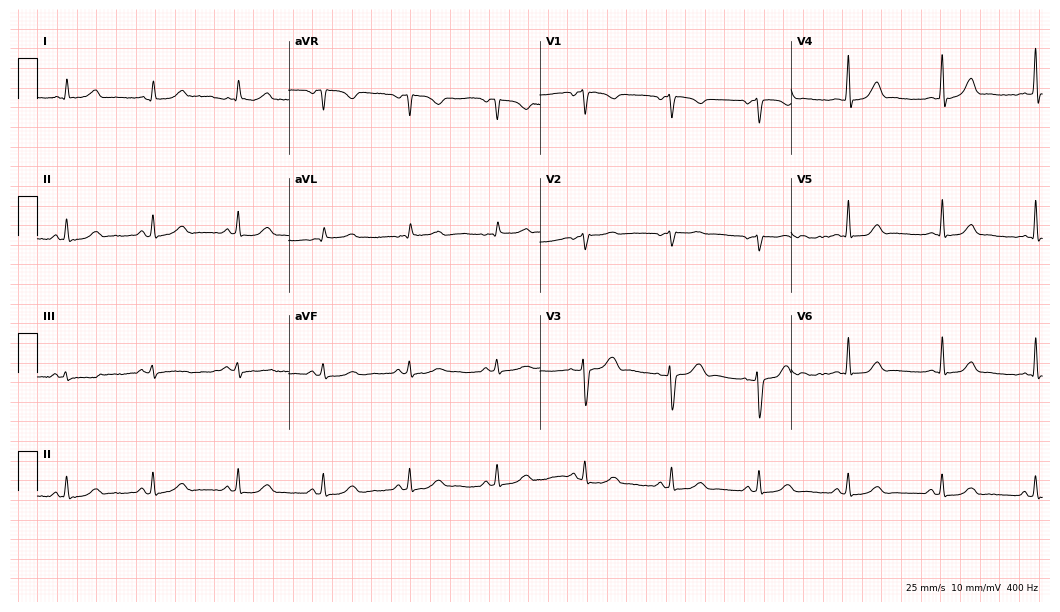
Standard 12-lead ECG recorded from a woman, 50 years old (10.2-second recording at 400 Hz). Read as a normal ECG.